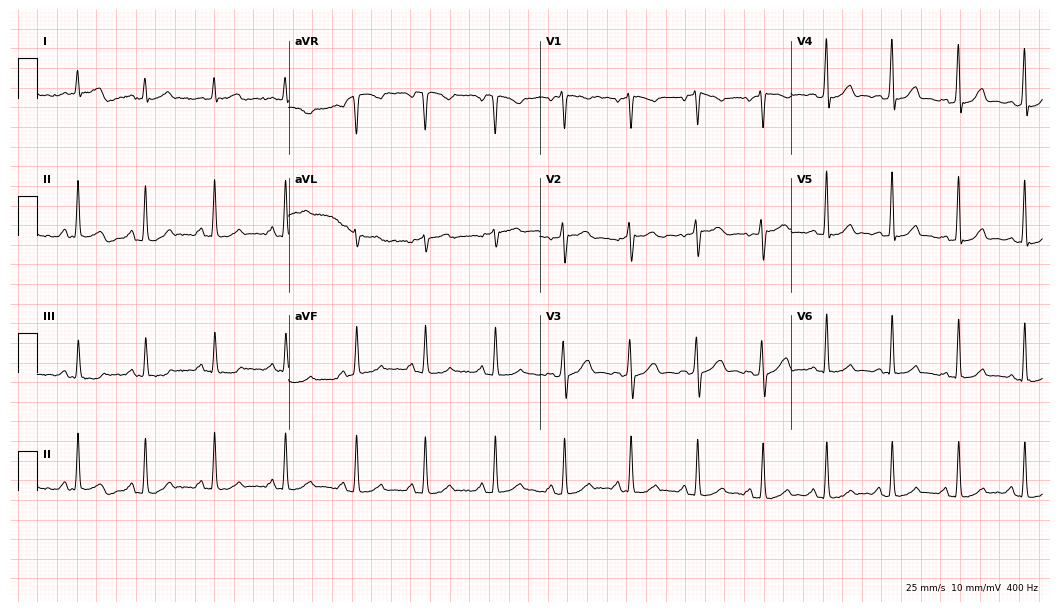
Electrocardiogram (10.2-second recording at 400 Hz), a female patient, 33 years old. Overall reading on record: normal ECG.